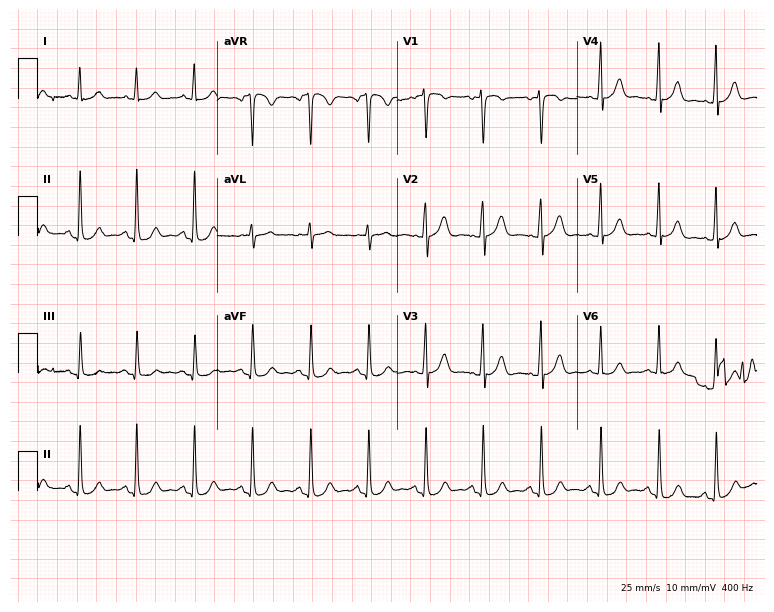
ECG — a woman, 18 years old. Findings include sinus tachycardia (a sinus rate of 100 beats per minute or more).